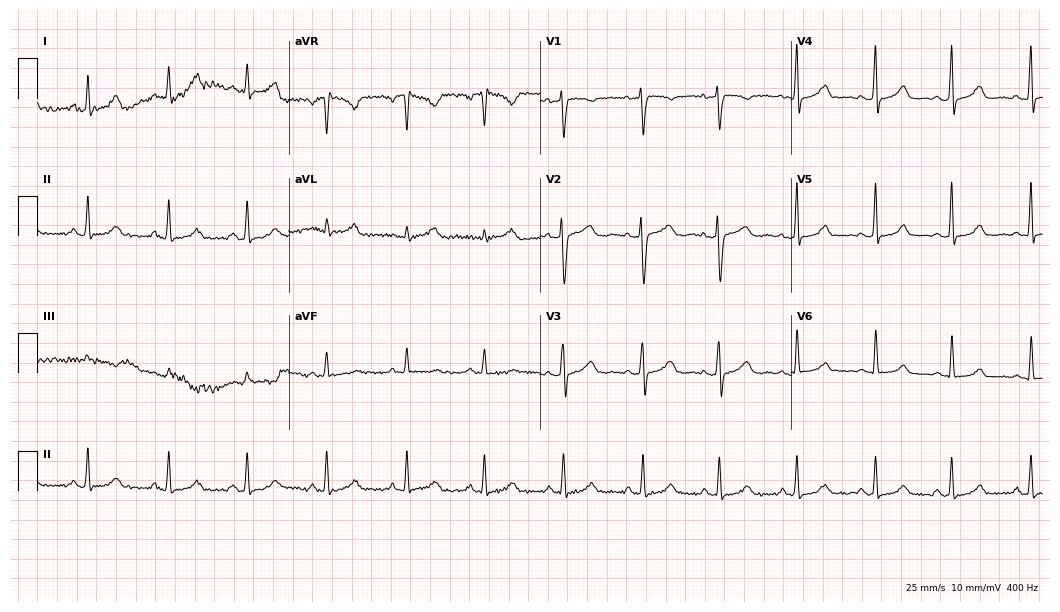
Electrocardiogram (10.2-second recording at 400 Hz), a 26-year-old female. Overall reading on record: normal ECG.